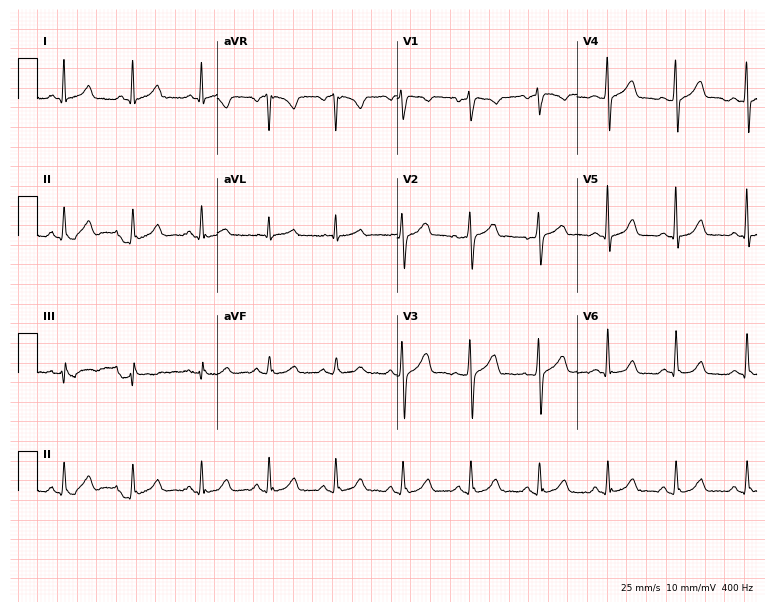
Resting 12-lead electrocardiogram (7.3-second recording at 400 Hz). Patient: a male, 52 years old. None of these six findings is recorded: first-degree AV block, right bundle branch block, left bundle branch block, sinus bradycardia, atrial fibrillation, sinus tachycardia.